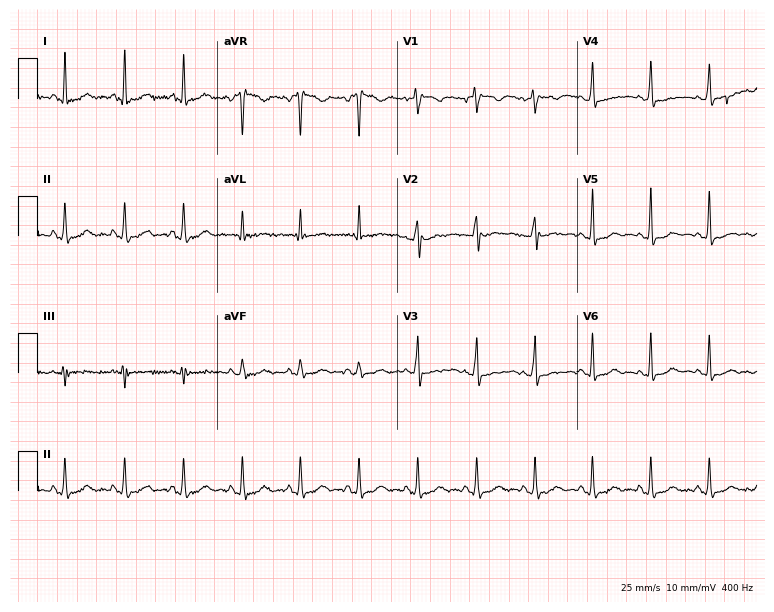
Standard 12-lead ECG recorded from a female patient, 41 years old (7.3-second recording at 400 Hz). None of these six findings is recorded: first-degree AV block, right bundle branch block (RBBB), left bundle branch block (LBBB), sinus bradycardia, atrial fibrillation (AF), sinus tachycardia. Findings outside these six are not listed.